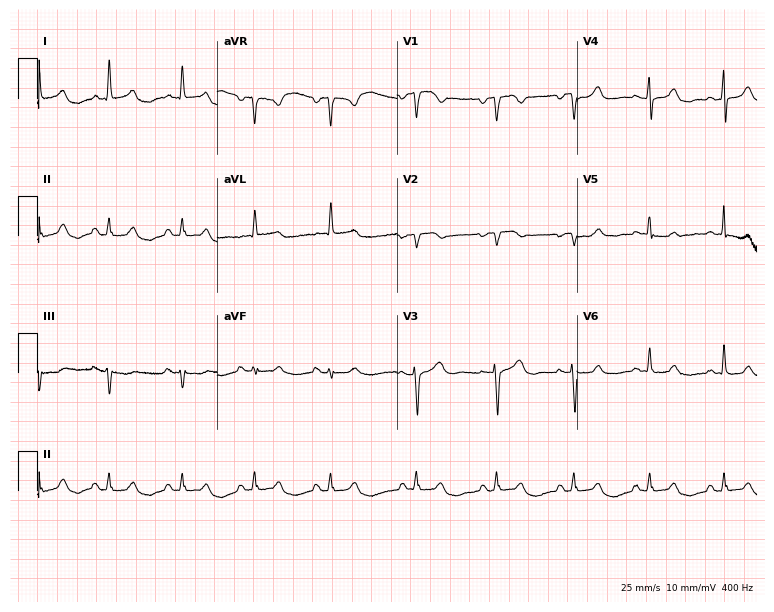
Electrocardiogram (7.3-second recording at 400 Hz), a woman, 71 years old. Of the six screened findings (first-degree AV block, right bundle branch block, left bundle branch block, sinus bradycardia, atrial fibrillation, sinus tachycardia), none is recorded. Other findings, if any, are not listed.